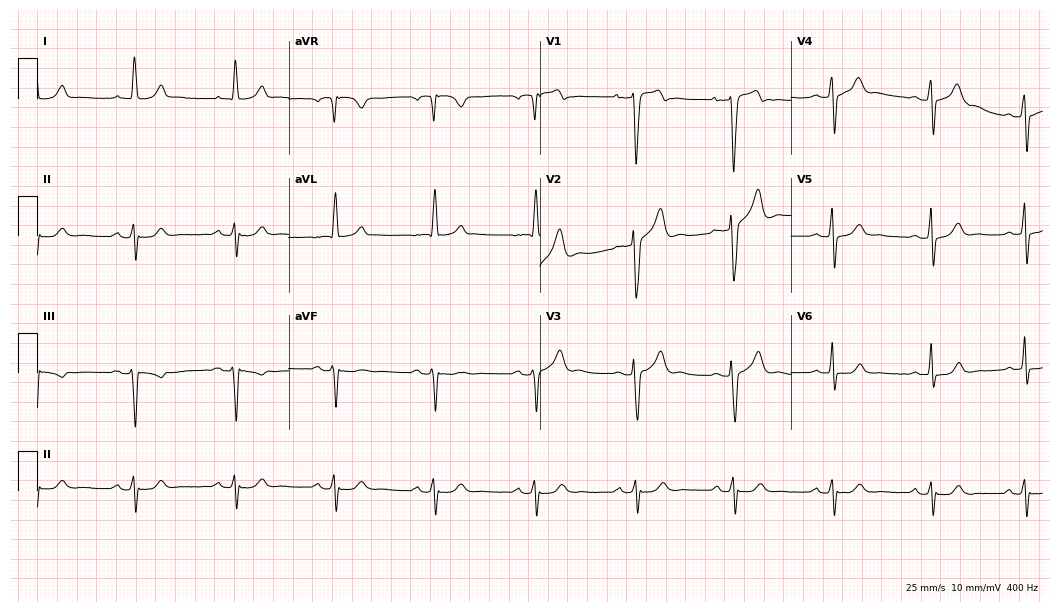
ECG — a male patient, 57 years old. Screened for six findings — first-degree AV block, right bundle branch block, left bundle branch block, sinus bradycardia, atrial fibrillation, sinus tachycardia — none is recorded.